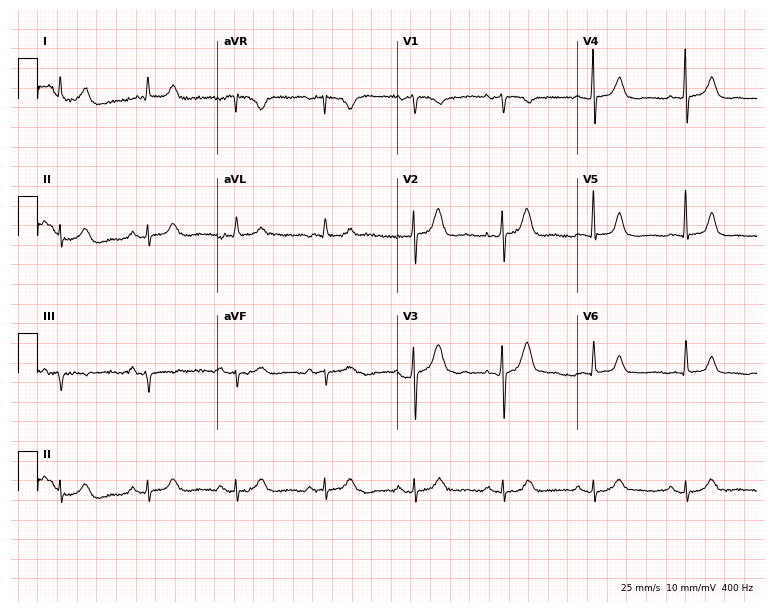
Electrocardiogram, an 82-year-old female patient. Overall reading on record: normal ECG.